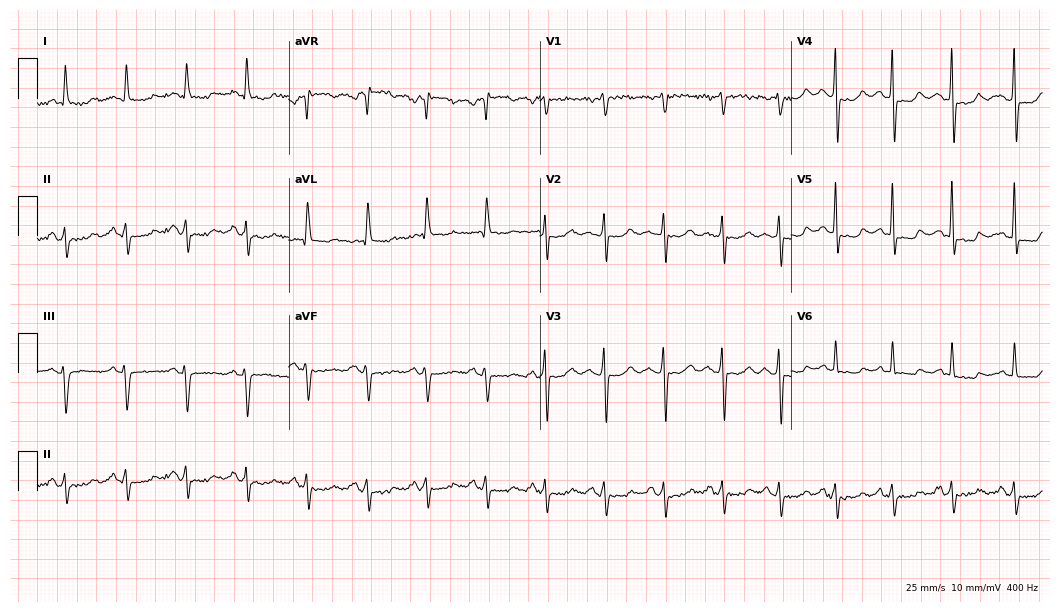
Standard 12-lead ECG recorded from a 53-year-old female (10.2-second recording at 400 Hz). None of these six findings is recorded: first-degree AV block, right bundle branch block, left bundle branch block, sinus bradycardia, atrial fibrillation, sinus tachycardia.